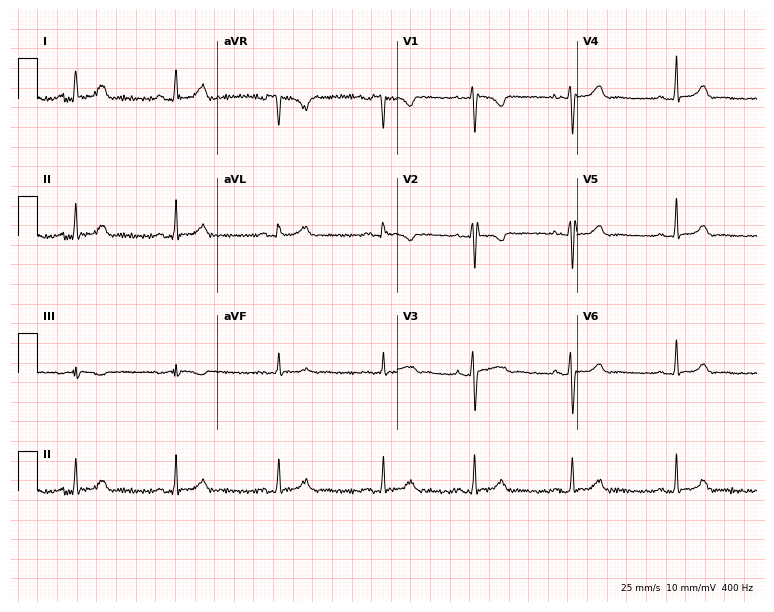
Standard 12-lead ECG recorded from a woman, 32 years old (7.3-second recording at 400 Hz). None of these six findings is recorded: first-degree AV block, right bundle branch block, left bundle branch block, sinus bradycardia, atrial fibrillation, sinus tachycardia.